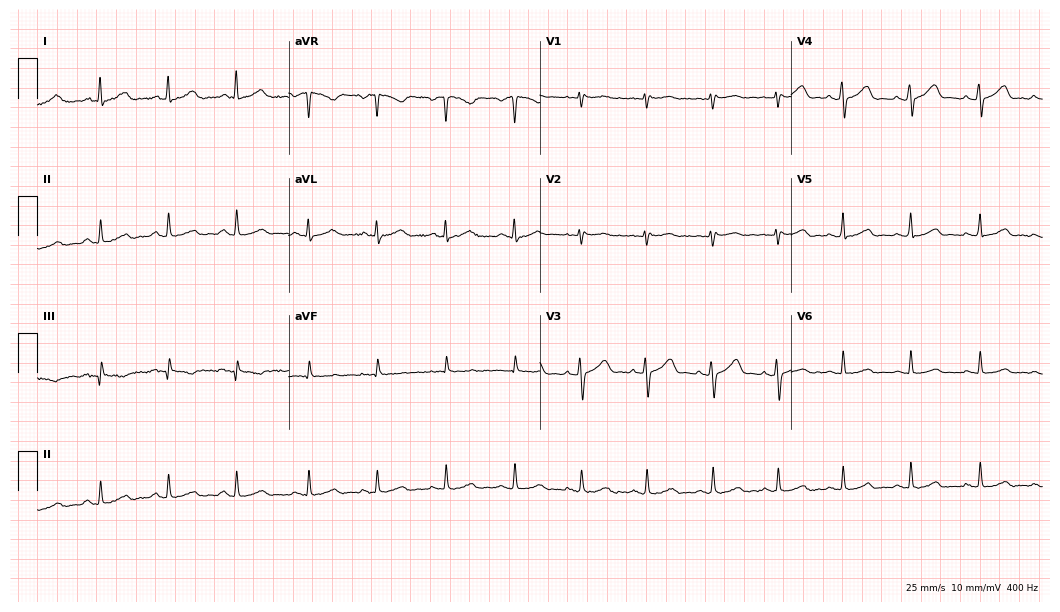
Resting 12-lead electrocardiogram (10.2-second recording at 400 Hz). Patient: a female, 41 years old. Read as a normal ECG.